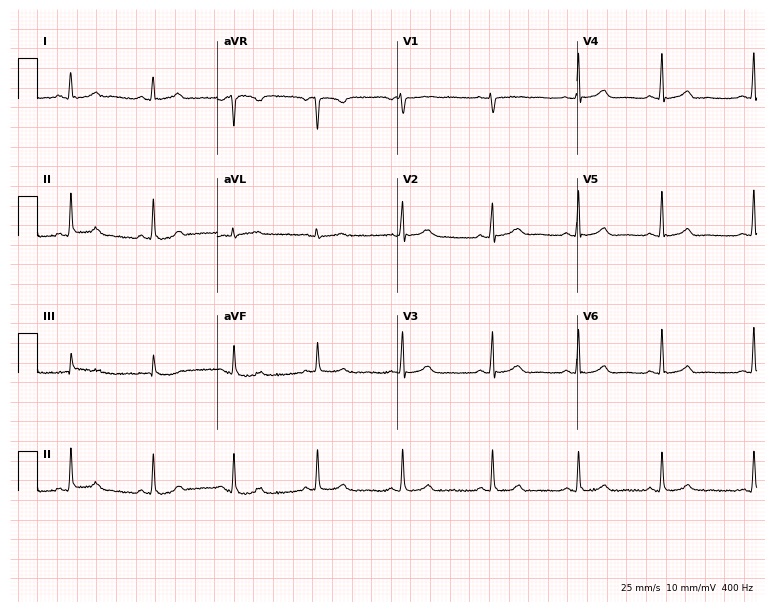
ECG (7.3-second recording at 400 Hz) — a female, 19 years old. Labelled as a normal ECG.